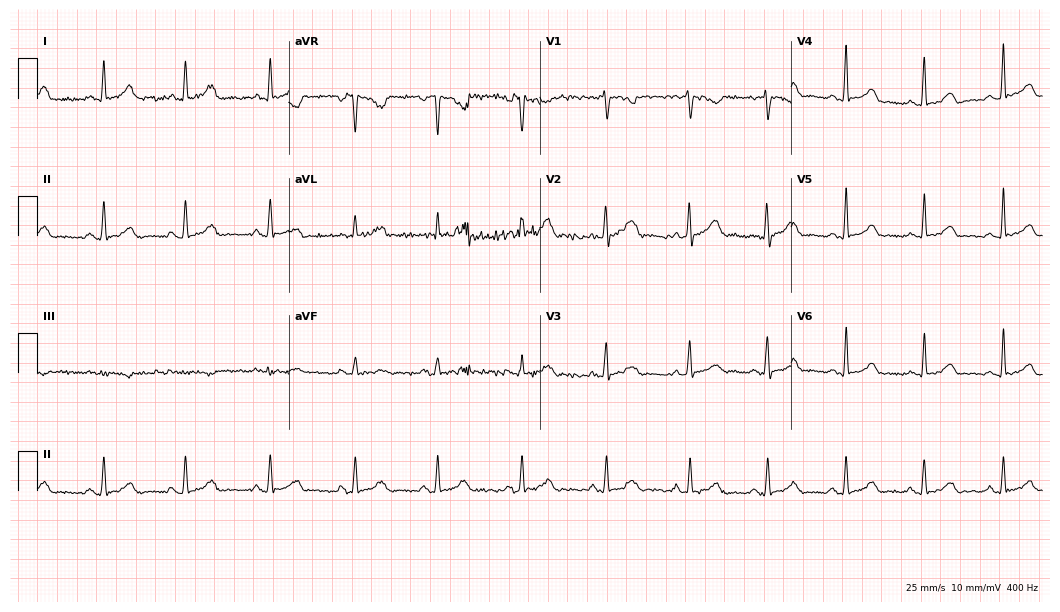
Standard 12-lead ECG recorded from a 30-year-old female patient (10.2-second recording at 400 Hz). Read as a normal ECG.